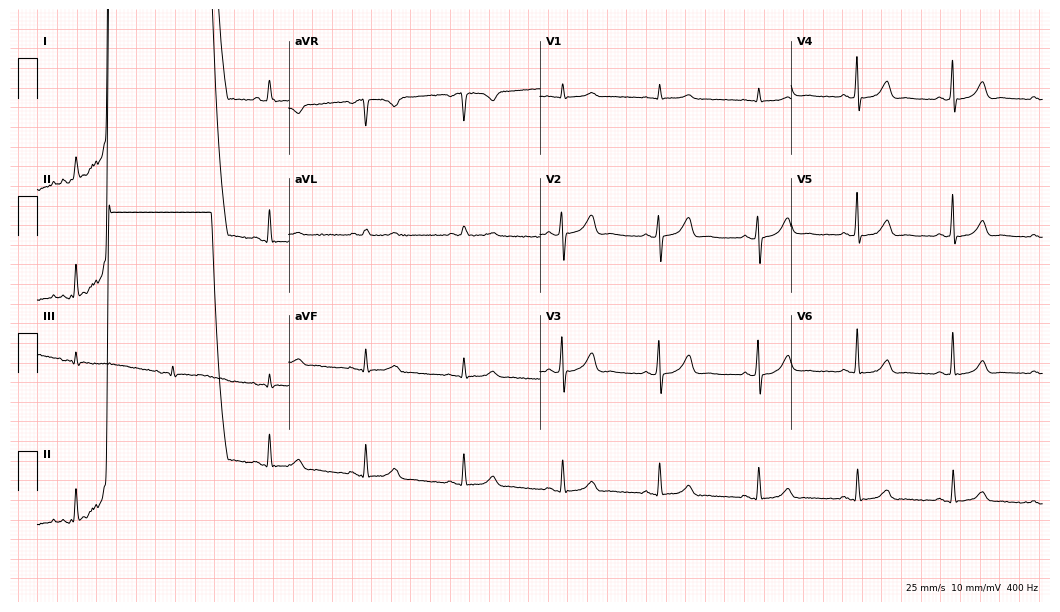
Resting 12-lead electrocardiogram (10.2-second recording at 400 Hz). Patient: a female, 53 years old. Read as a normal ECG.